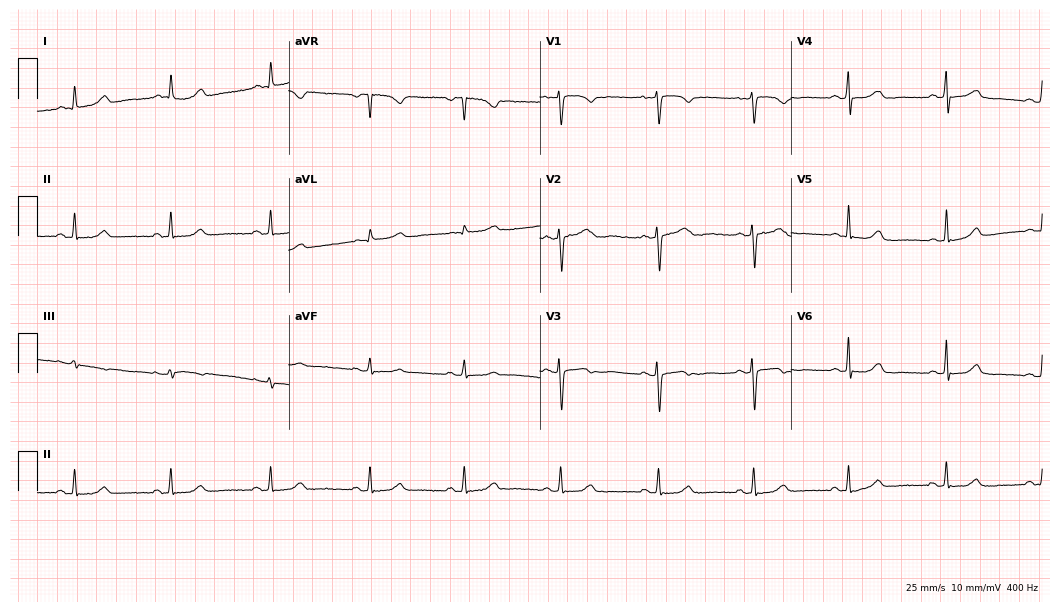
Standard 12-lead ECG recorded from a 44-year-old female (10.2-second recording at 400 Hz). Read as a normal ECG.